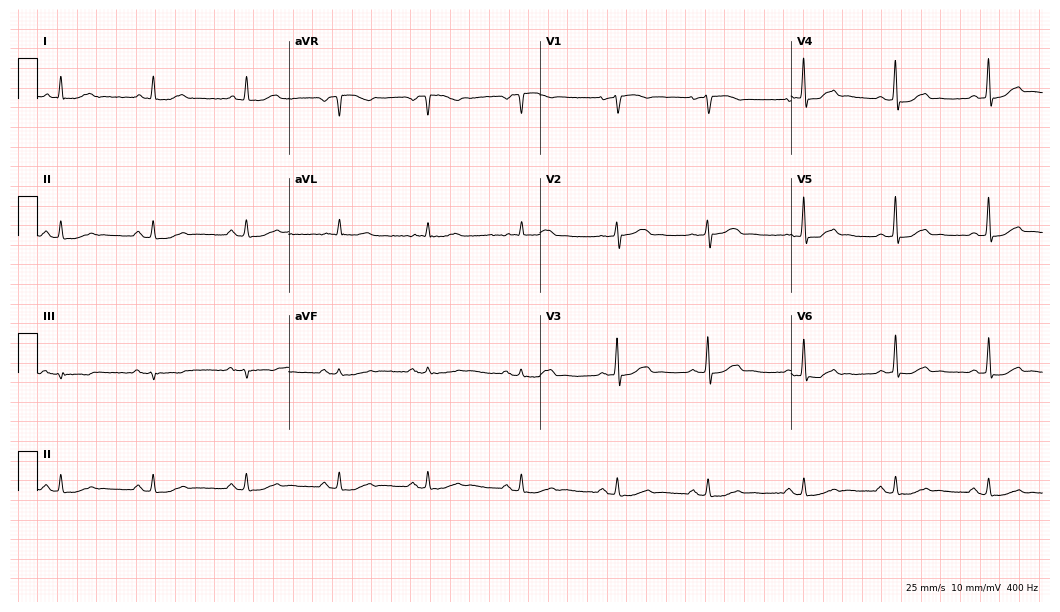
12-lead ECG (10.2-second recording at 400 Hz) from a male patient, 83 years old. Labelled as a normal ECG.